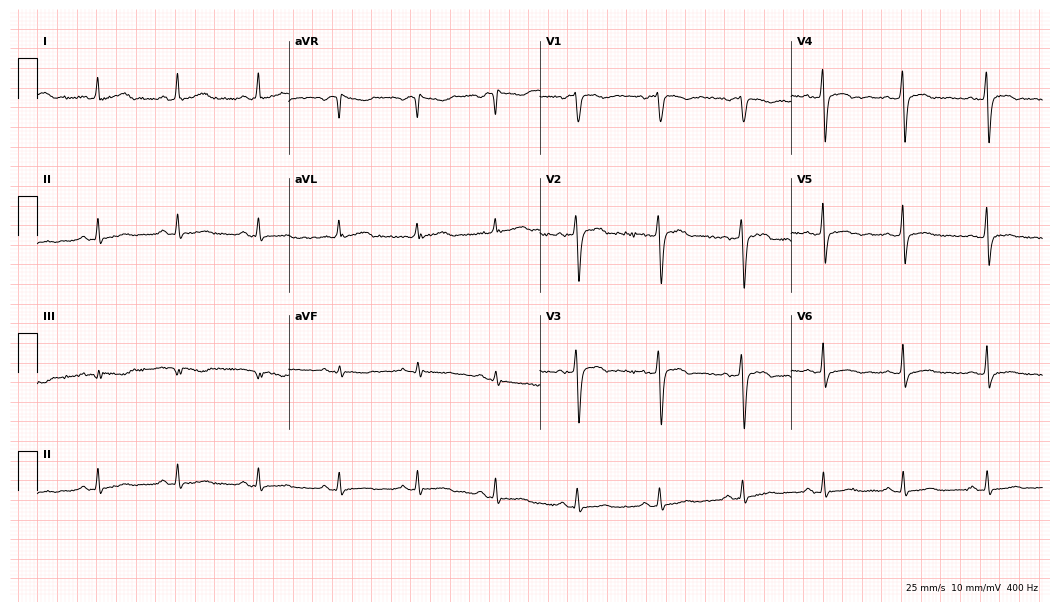
12-lead ECG (10.2-second recording at 400 Hz) from a 43-year-old woman. Screened for six findings — first-degree AV block, right bundle branch block (RBBB), left bundle branch block (LBBB), sinus bradycardia, atrial fibrillation (AF), sinus tachycardia — none is recorded. Findings outside these six are not listed.